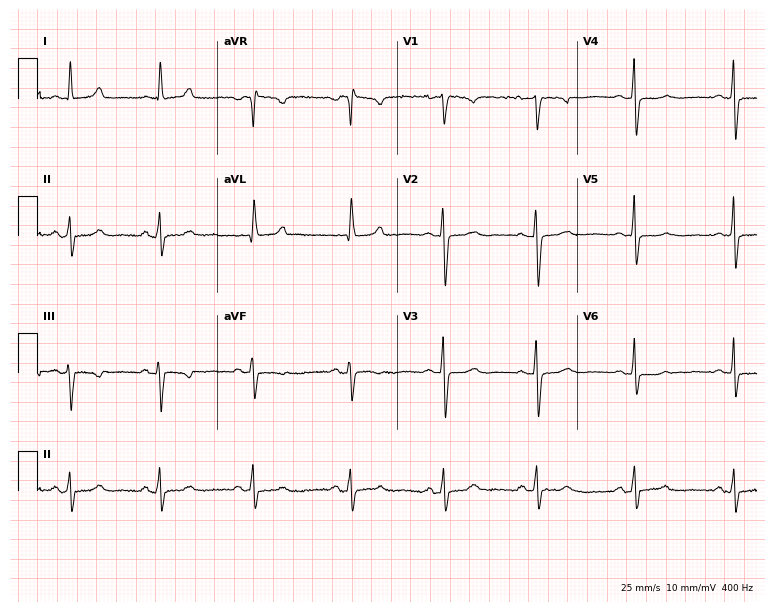
Resting 12-lead electrocardiogram (7.3-second recording at 400 Hz). Patient: a 55-year-old woman. None of these six findings is recorded: first-degree AV block, right bundle branch block, left bundle branch block, sinus bradycardia, atrial fibrillation, sinus tachycardia.